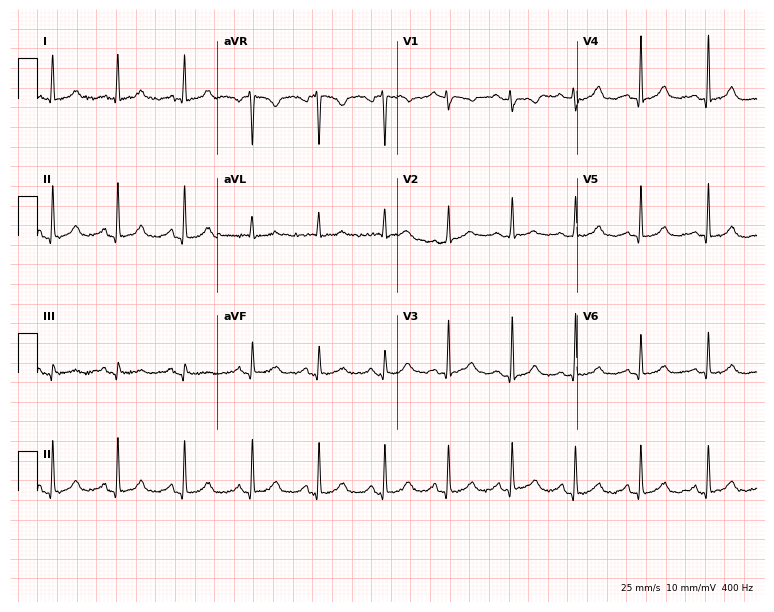
12-lead ECG (7.3-second recording at 400 Hz) from a woman, 36 years old. Labelled as a normal ECG.